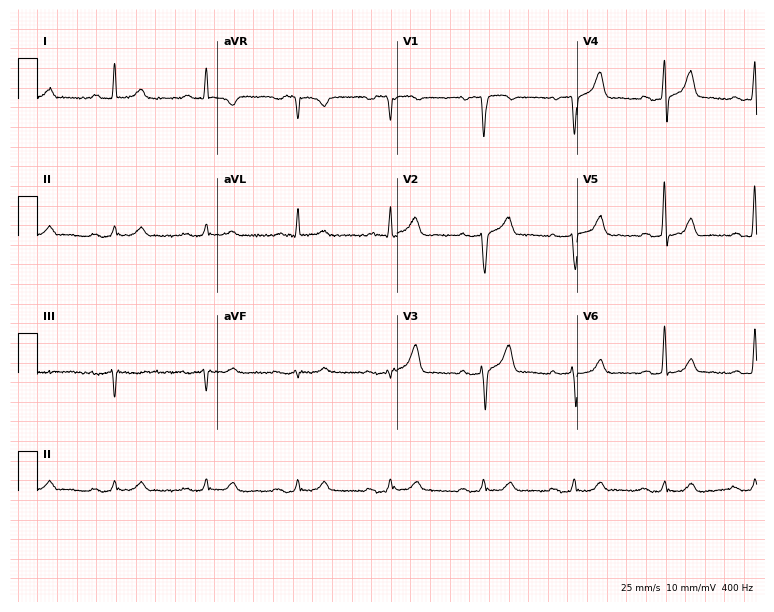
ECG (7.3-second recording at 400 Hz) — a 64-year-old man. Screened for six findings — first-degree AV block, right bundle branch block, left bundle branch block, sinus bradycardia, atrial fibrillation, sinus tachycardia — none is recorded. Findings outside these six are not listed.